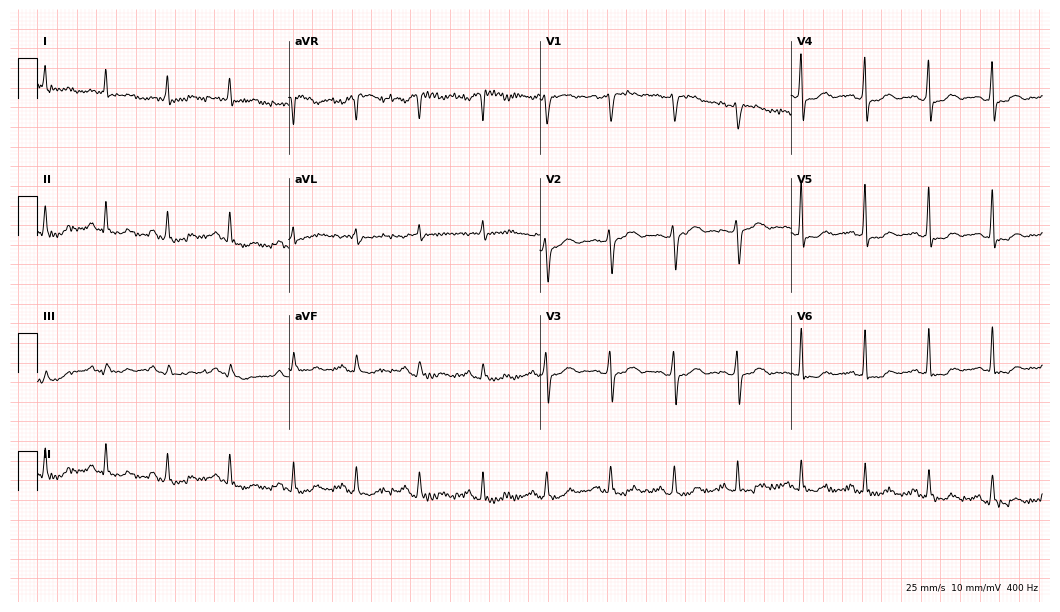
12-lead ECG (10.2-second recording at 400 Hz) from a female, 68 years old. Screened for six findings — first-degree AV block, right bundle branch block, left bundle branch block, sinus bradycardia, atrial fibrillation, sinus tachycardia — none is recorded. Only these six findings were labelled.